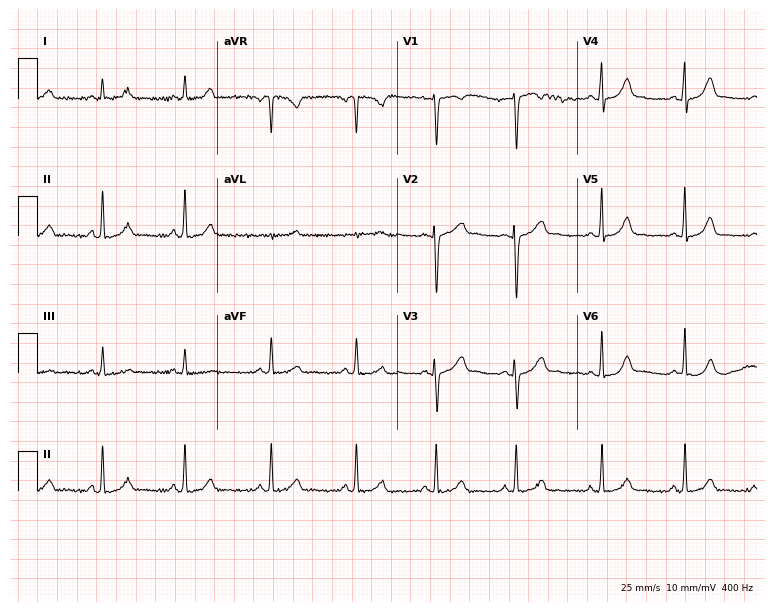
Electrocardiogram (7.3-second recording at 400 Hz), a female, 25 years old. Overall reading on record: normal ECG.